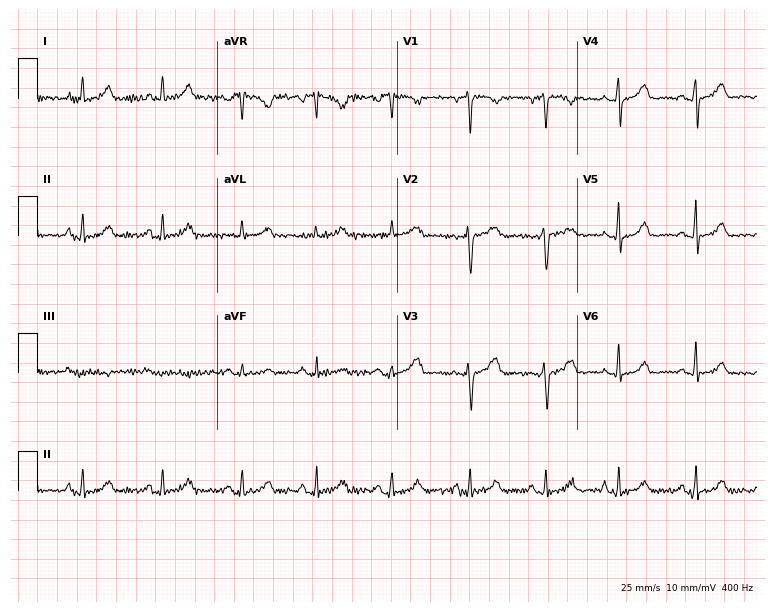
Resting 12-lead electrocardiogram. Patient: a female, 47 years old. Read as a normal ECG.